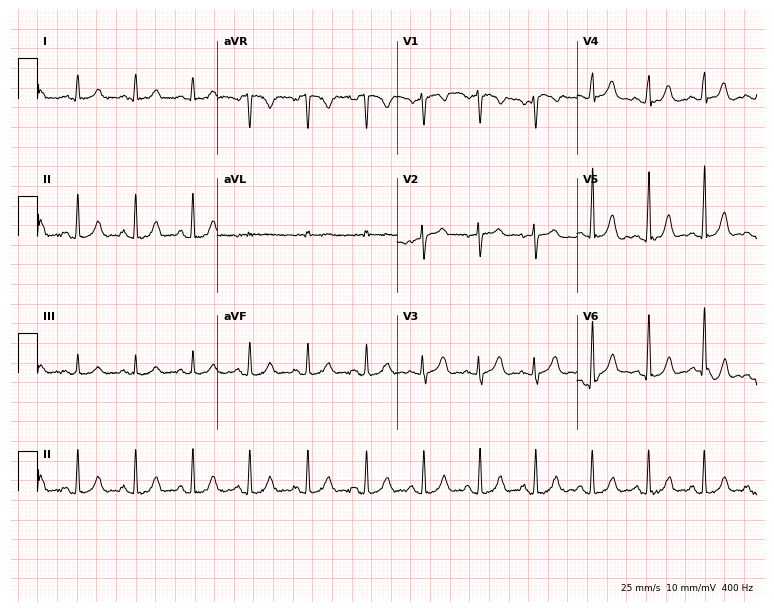
12-lead ECG from a 24-year-old female patient. Recorded interpretation: within normal limits.